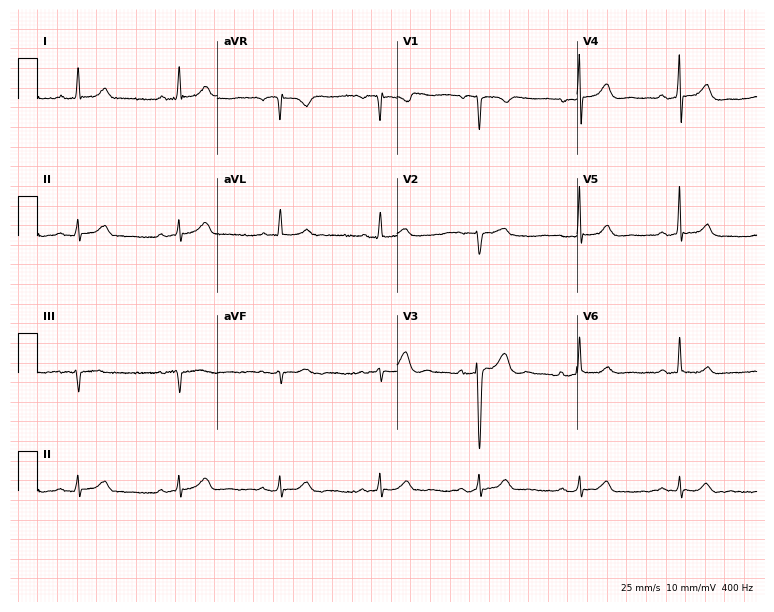
ECG (7.3-second recording at 400 Hz) — a female patient, 65 years old. Labelled as a normal ECG.